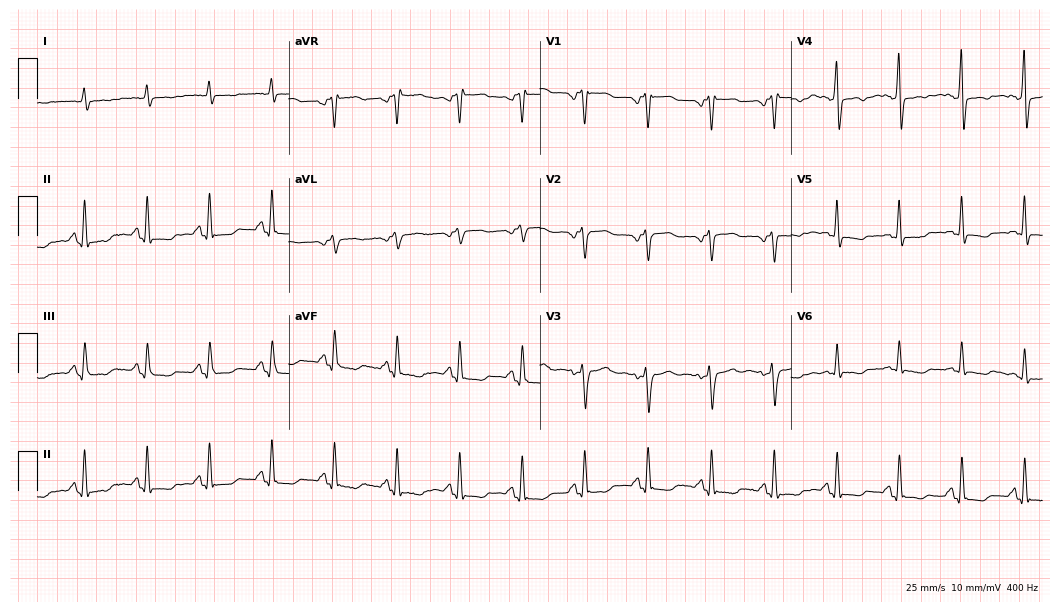
Electrocardiogram (10.2-second recording at 400 Hz), a 48-year-old female patient. Of the six screened findings (first-degree AV block, right bundle branch block, left bundle branch block, sinus bradycardia, atrial fibrillation, sinus tachycardia), none is recorded. Findings outside these six are not listed.